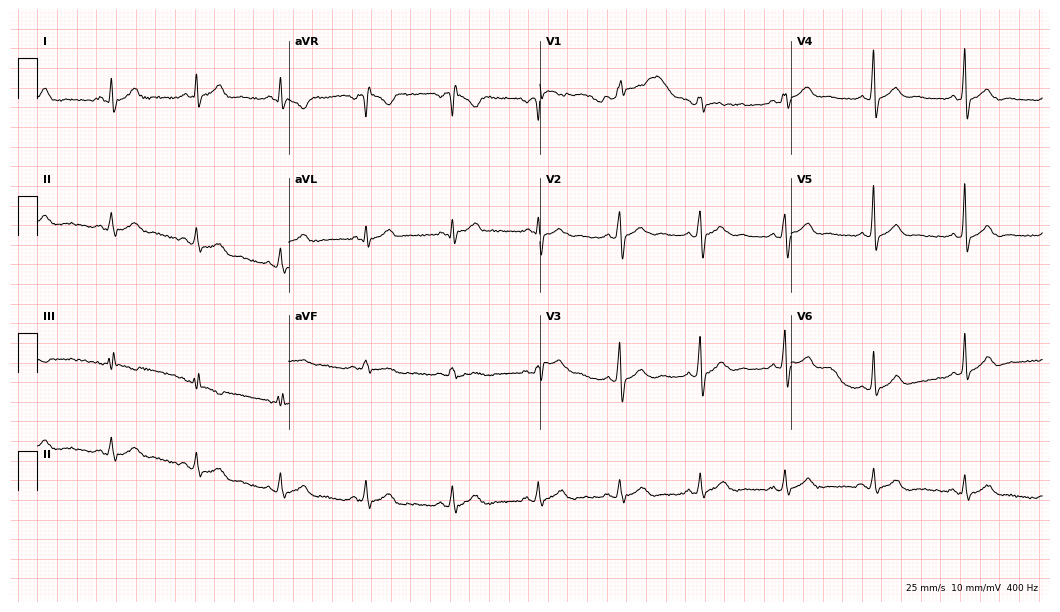
Resting 12-lead electrocardiogram (10.2-second recording at 400 Hz). Patient: a male, 27 years old. Read as a normal ECG.